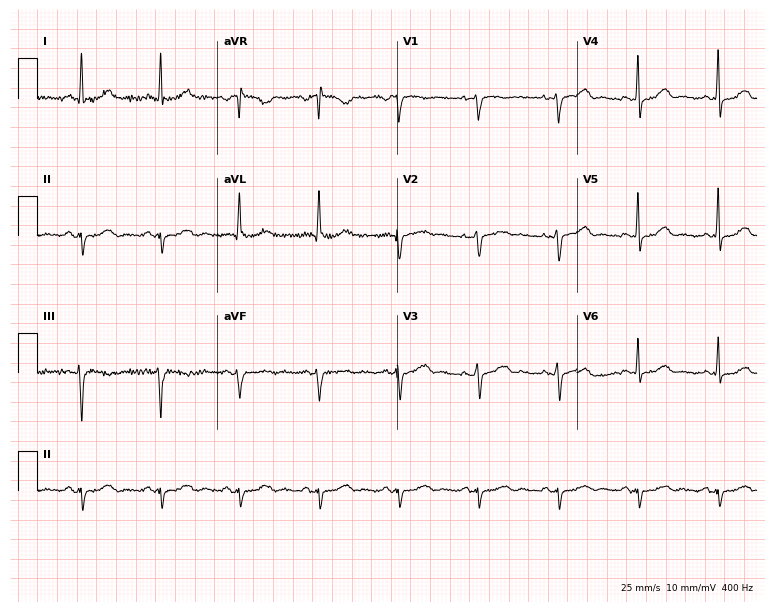
12-lead ECG from a female patient, 59 years old (7.3-second recording at 400 Hz). No first-degree AV block, right bundle branch block (RBBB), left bundle branch block (LBBB), sinus bradycardia, atrial fibrillation (AF) or sinus tachycardia recorded for this tracing.